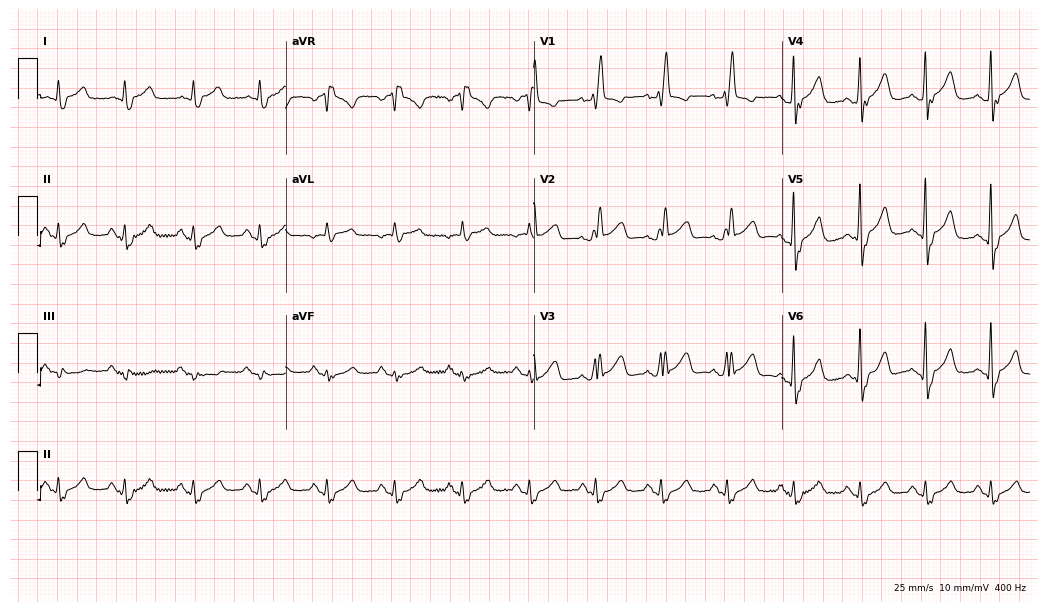
12-lead ECG from a 71-year-old man. Findings include right bundle branch block.